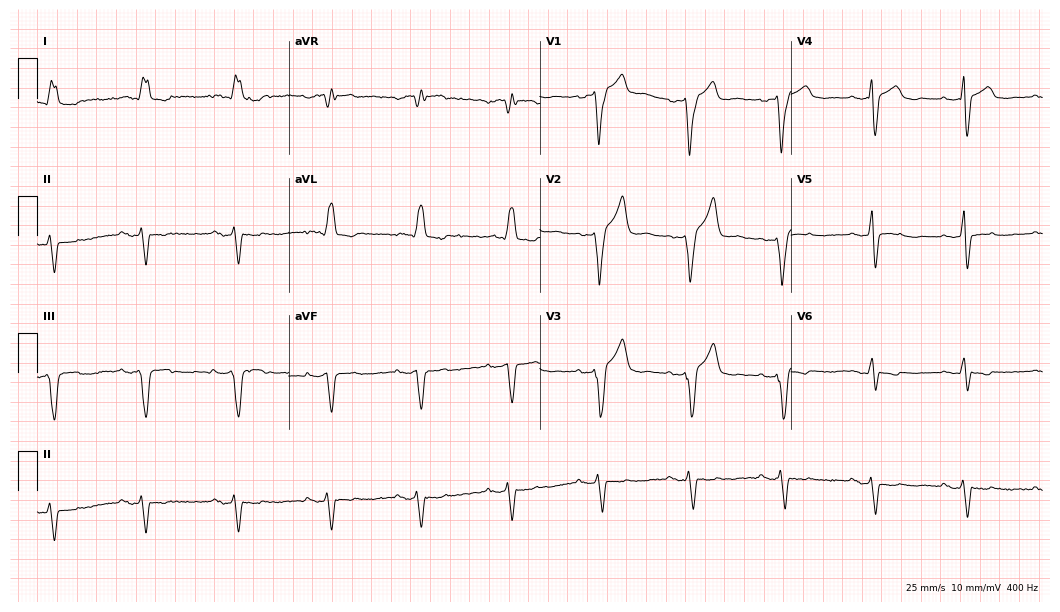
Electrocardiogram, a male patient, 55 years old. Of the six screened findings (first-degree AV block, right bundle branch block, left bundle branch block, sinus bradycardia, atrial fibrillation, sinus tachycardia), none is recorded.